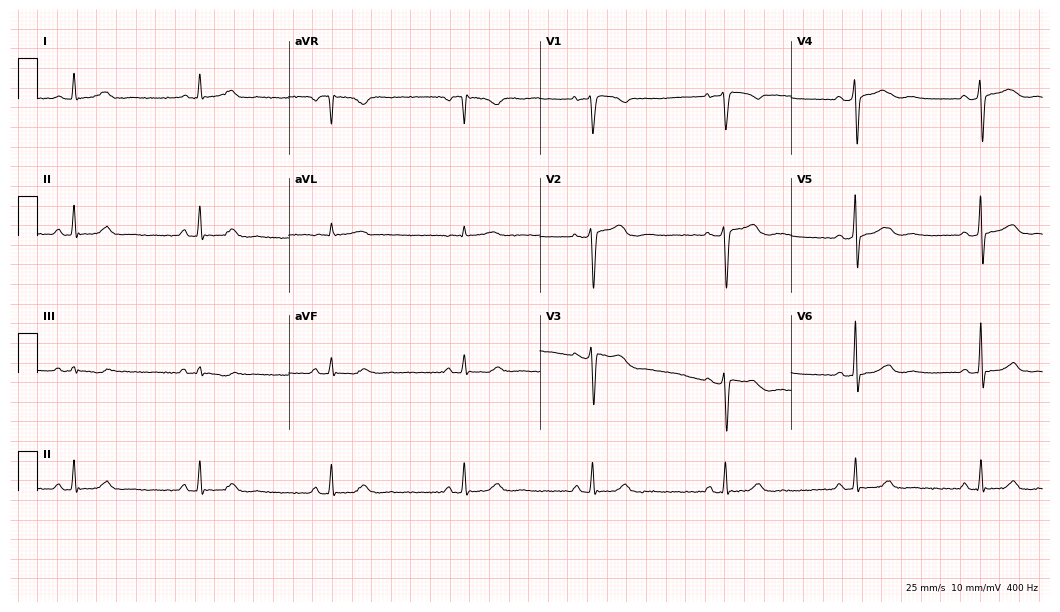
12-lead ECG from a 48-year-old man (10.2-second recording at 400 Hz). Shows sinus bradycardia (a sinus rate of 50 beats per minute or less).